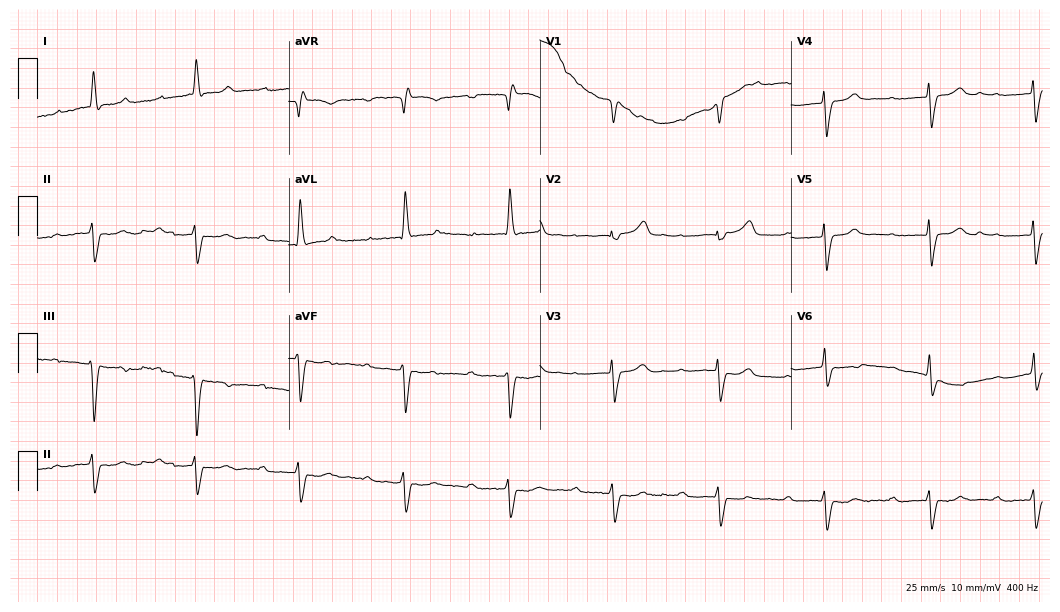
12-lead ECG from an 84-year-old male. Findings include first-degree AV block.